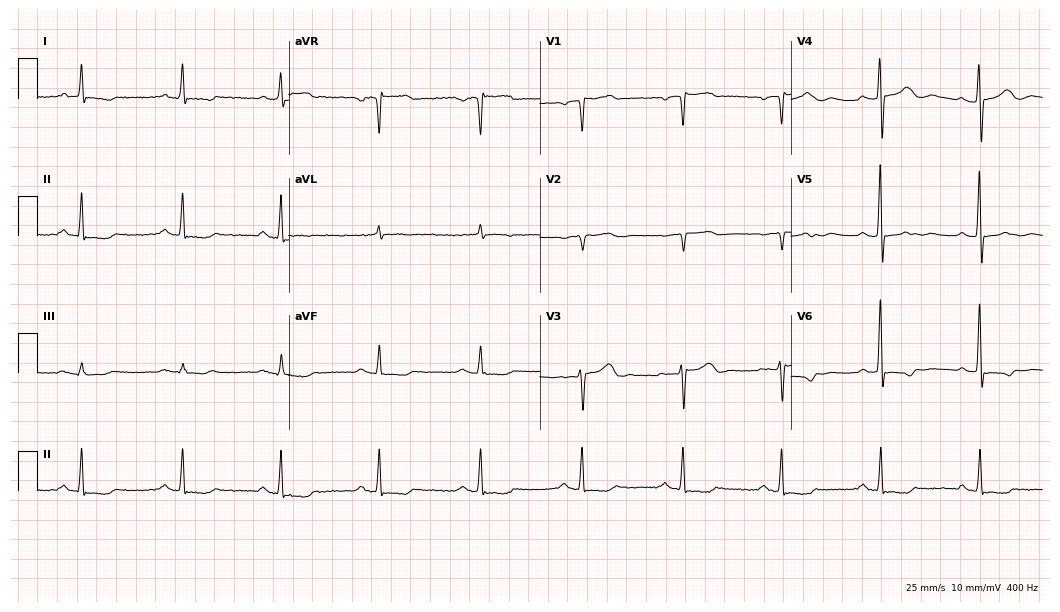
Resting 12-lead electrocardiogram. Patient: a 77-year-old female. None of these six findings is recorded: first-degree AV block, right bundle branch block, left bundle branch block, sinus bradycardia, atrial fibrillation, sinus tachycardia. Only these six findings were labelled.